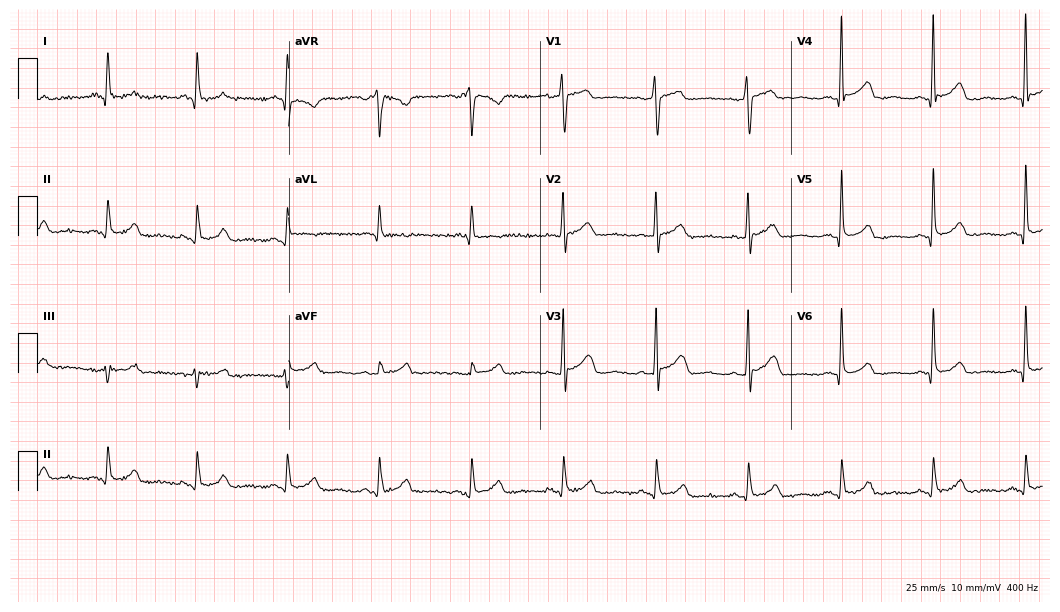
Standard 12-lead ECG recorded from a 57-year-old woman (10.2-second recording at 400 Hz). None of these six findings is recorded: first-degree AV block, right bundle branch block, left bundle branch block, sinus bradycardia, atrial fibrillation, sinus tachycardia. Only these six findings were labelled.